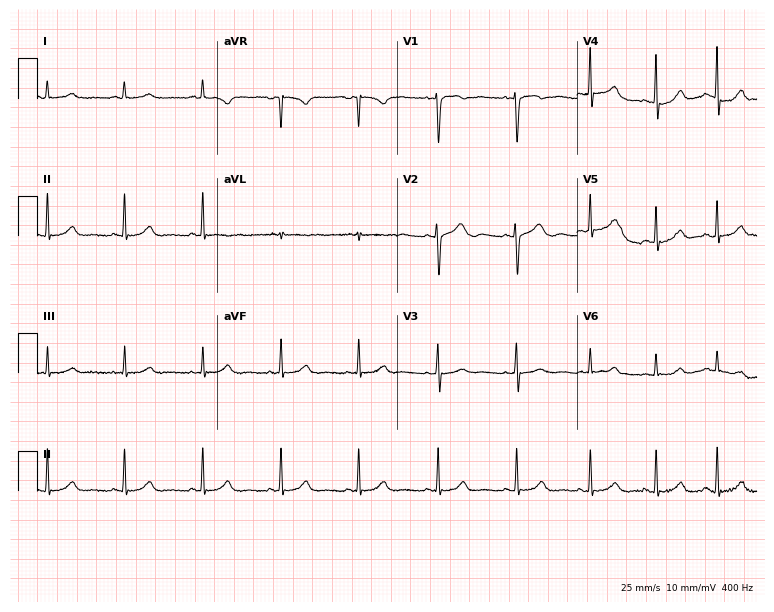
ECG — a female patient, 17 years old. Labelled as a normal ECG.